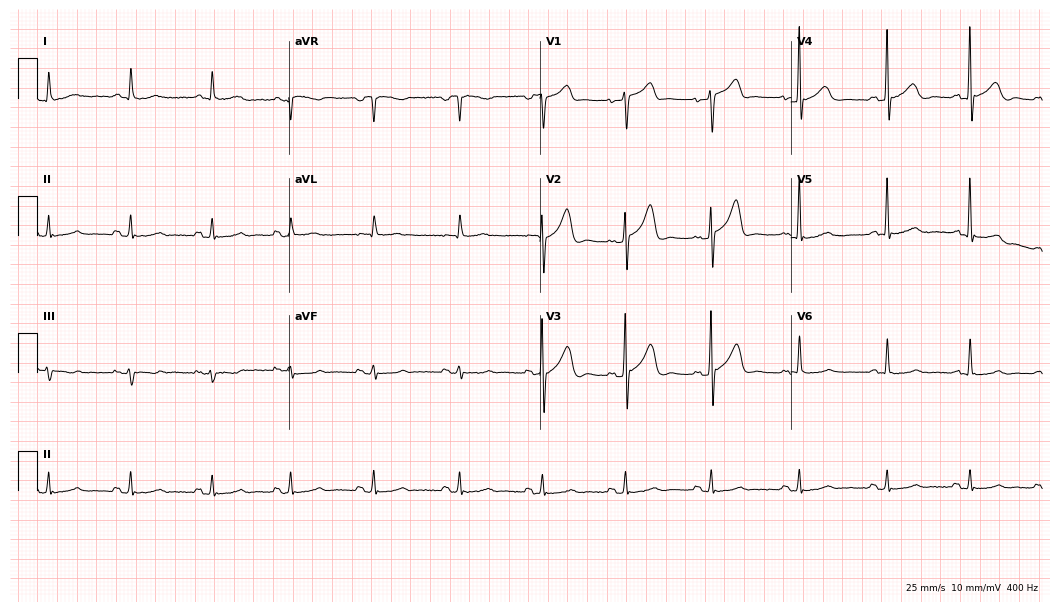
Resting 12-lead electrocardiogram (10.2-second recording at 400 Hz). Patient: a 51-year-old man. Read as a normal ECG.